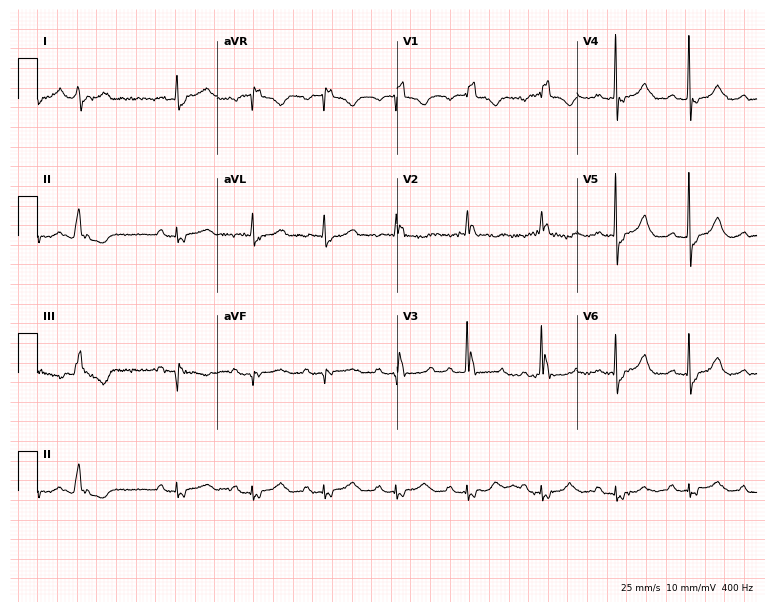
Resting 12-lead electrocardiogram (7.3-second recording at 400 Hz). Patient: a 73-year-old female. The tracing shows right bundle branch block.